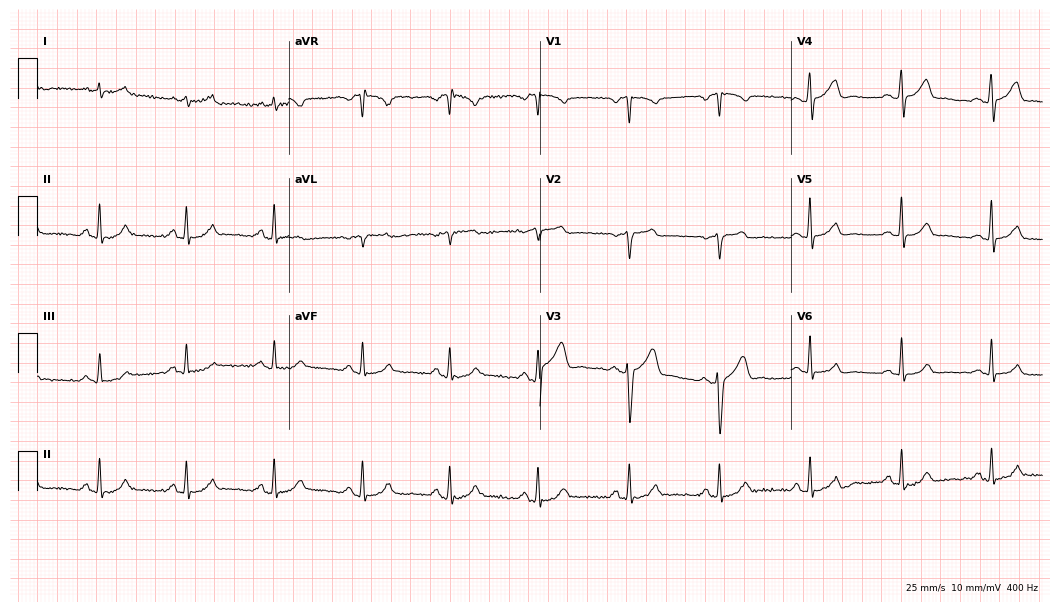
12-lead ECG from a 46-year-old male. Labelled as a normal ECG.